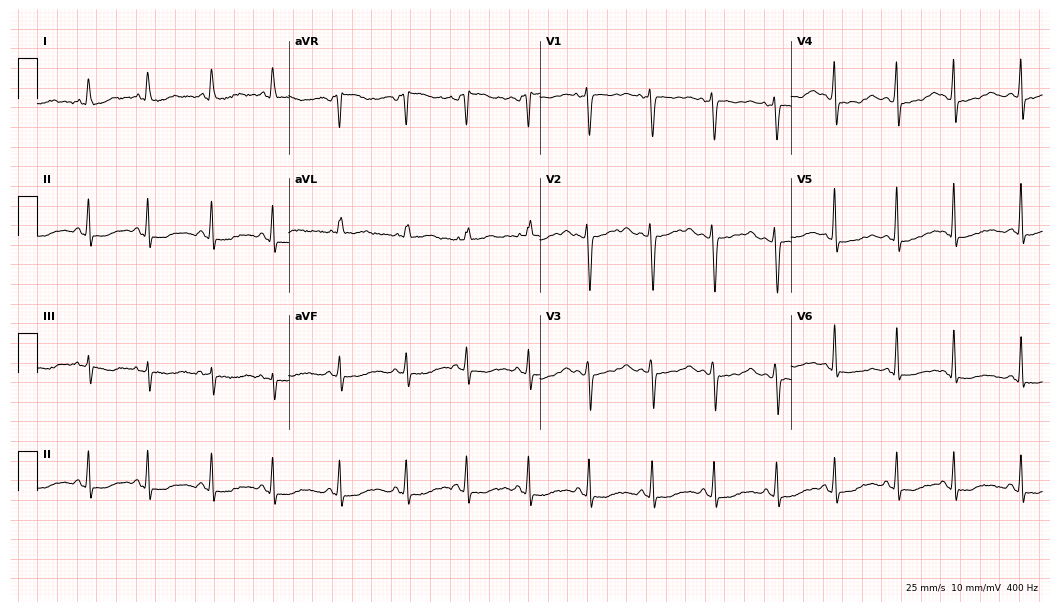
ECG (10.2-second recording at 400 Hz) — a 64-year-old female patient. Labelled as a normal ECG.